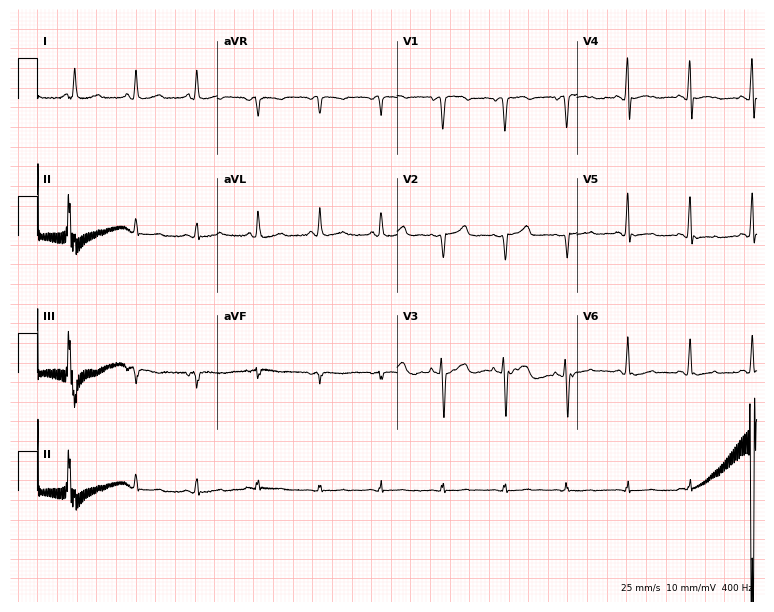
Electrocardiogram (7.3-second recording at 400 Hz), a female patient, 51 years old. Of the six screened findings (first-degree AV block, right bundle branch block (RBBB), left bundle branch block (LBBB), sinus bradycardia, atrial fibrillation (AF), sinus tachycardia), none is recorded.